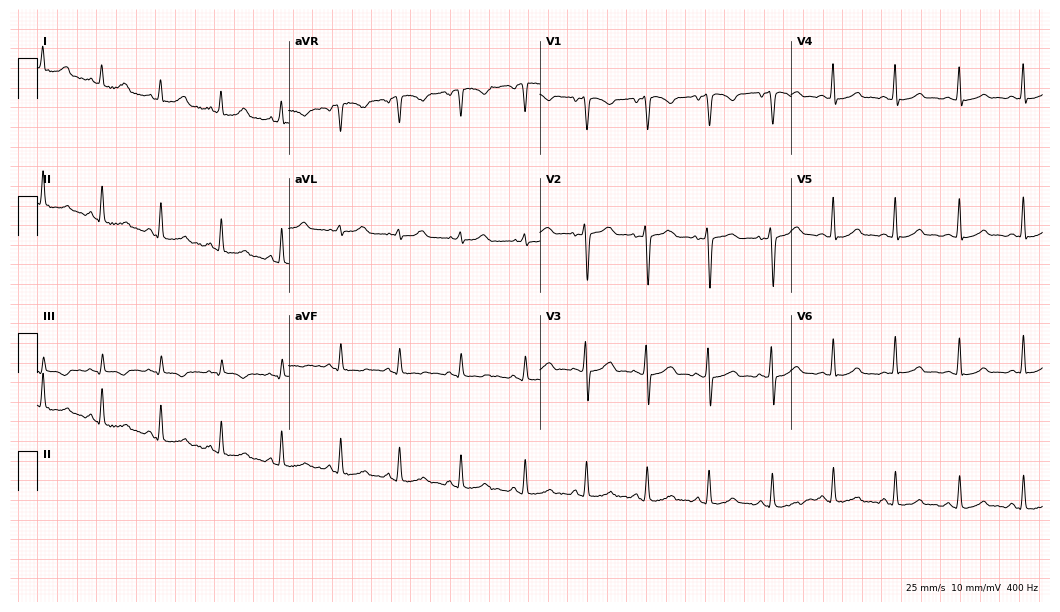
Electrocardiogram, a 32-year-old woman. Overall reading on record: normal ECG.